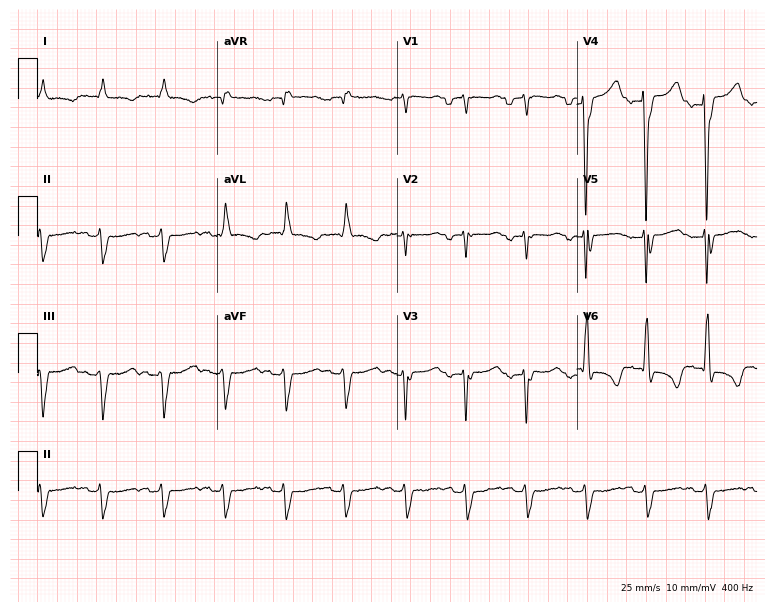
12-lead ECG from a 49-year-old woman. Screened for six findings — first-degree AV block, right bundle branch block, left bundle branch block, sinus bradycardia, atrial fibrillation, sinus tachycardia — none is recorded. Only these six findings were labelled.